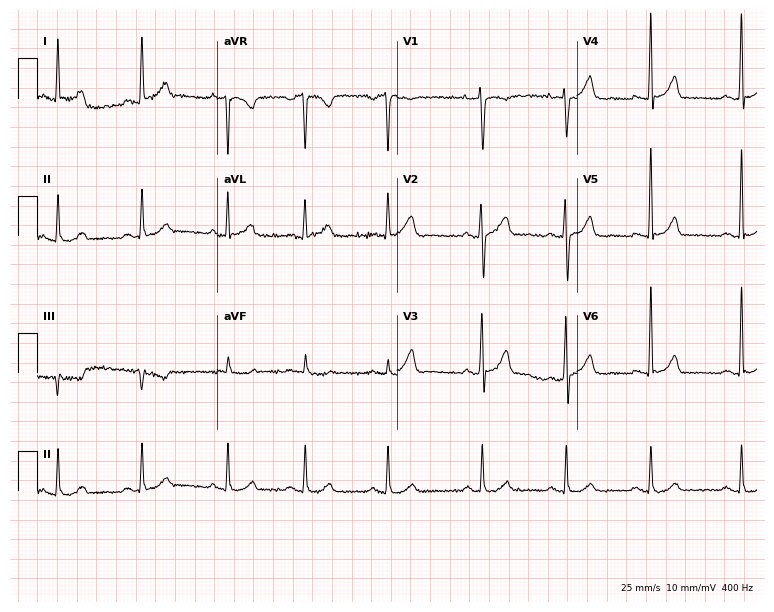
Electrocardiogram, a woman, 54 years old. Overall reading on record: normal ECG.